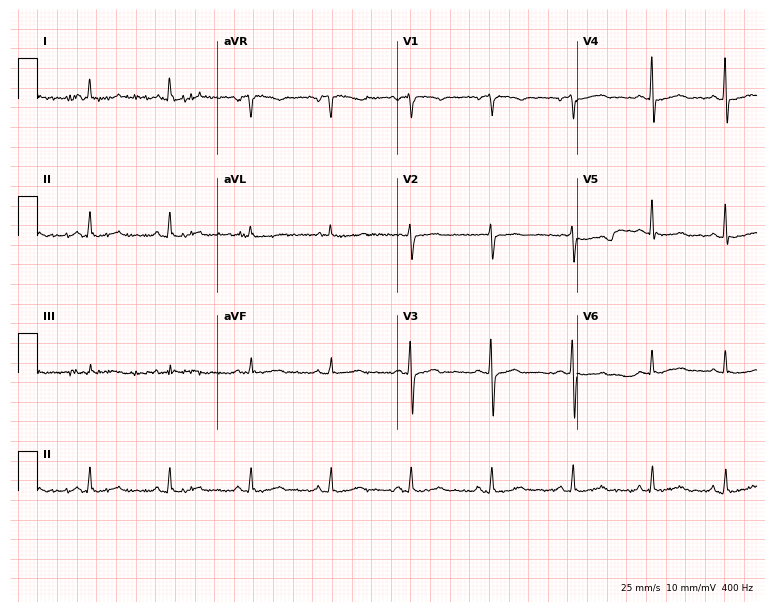
Standard 12-lead ECG recorded from a female patient, 64 years old. None of these six findings is recorded: first-degree AV block, right bundle branch block (RBBB), left bundle branch block (LBBB), sinus bradycardia, atrial fibrillation (AF), sinus tachycardia.